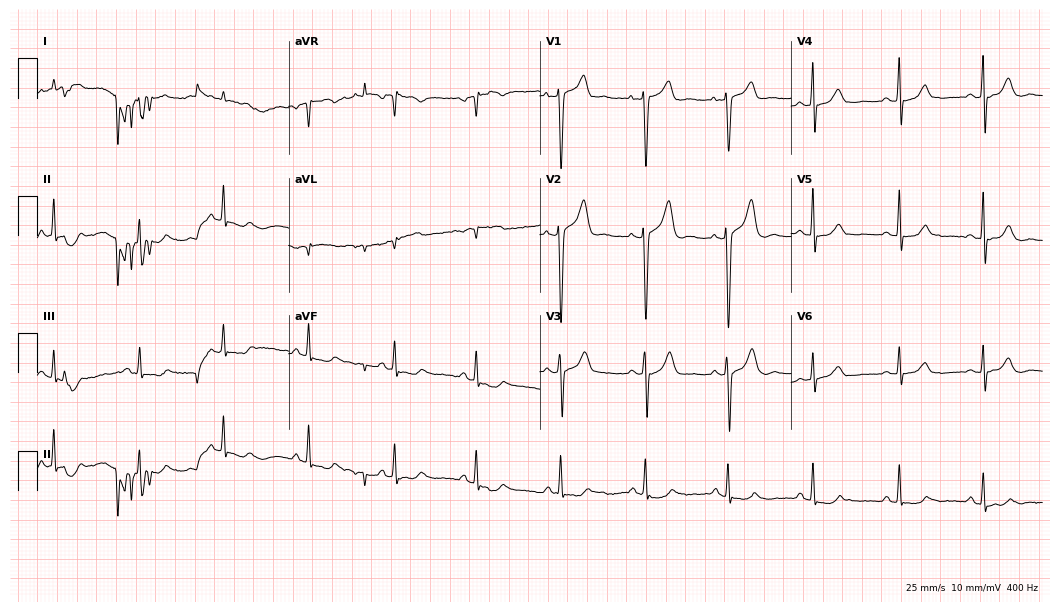
12-lead ECG (10.2-second recording at 400 Hz) from a man, 49 years old. Screened for six findings — first-degree AV block, right bundle branch block, left bundle branch block, sinus bradycardia, atrial fibrillation, sinus tachycardia — none is recorded. Findings outside these six are not listed.